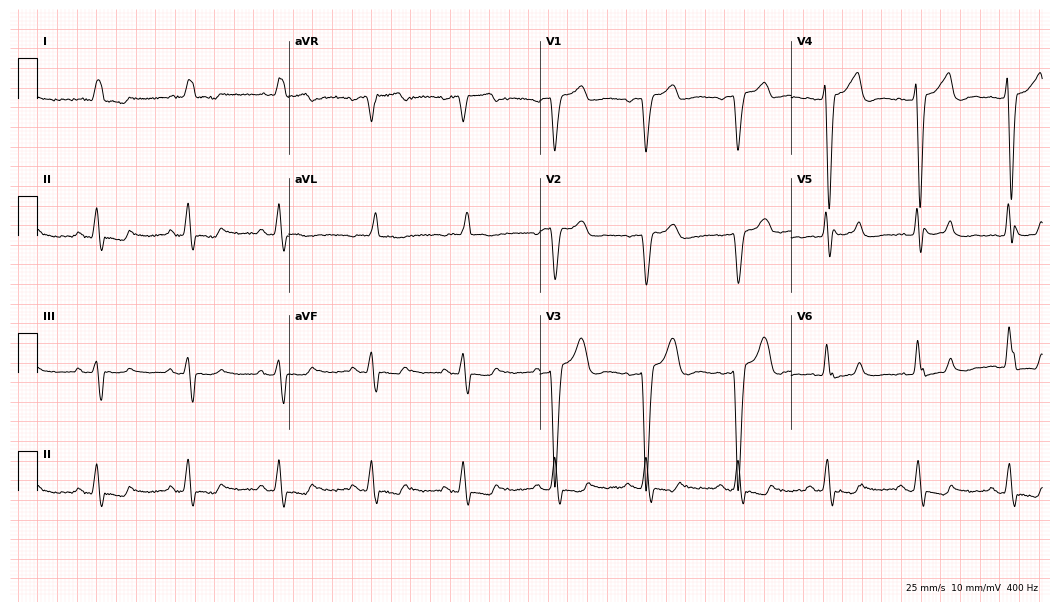
12-lead ECG from a male patient, 82 years old. Shows left bundle branch block.